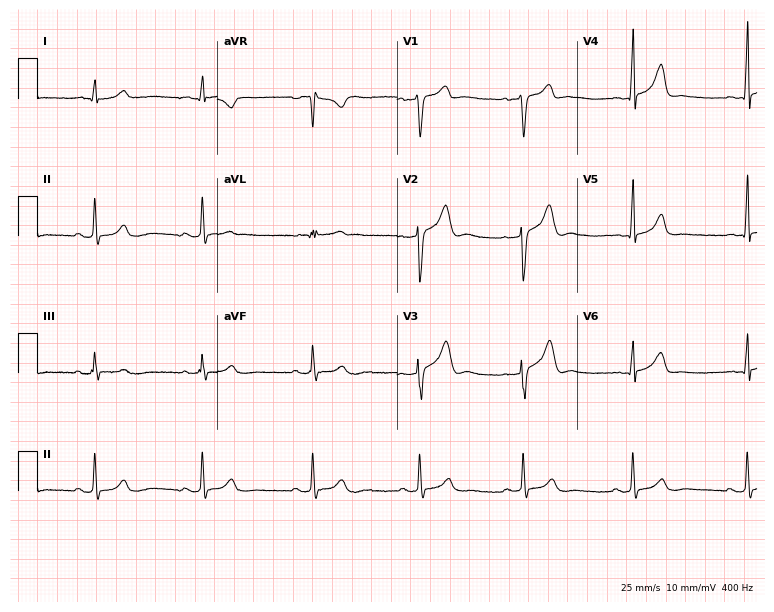
Resting 12-lead electrocardiogram (7.3-second recording at 400 Hz). Patient: a male, 28 years old. Read as a normal ECG.